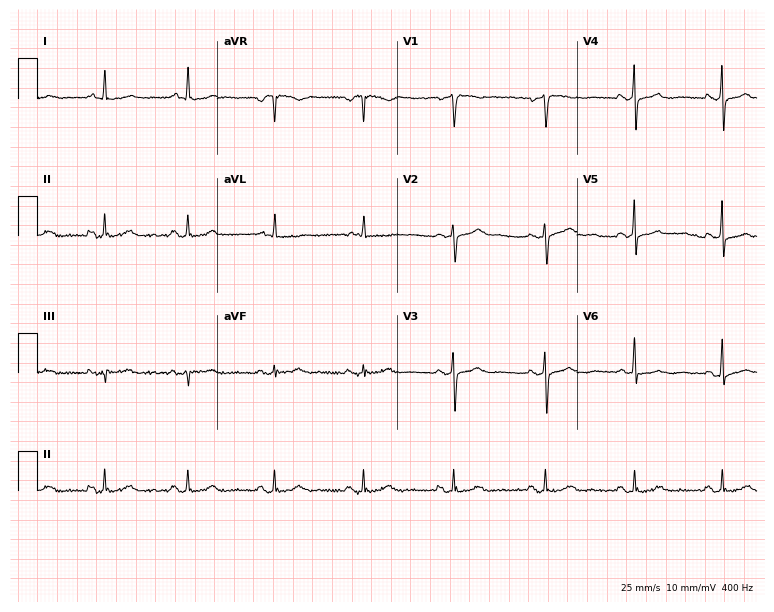
Electrocardiogram (7.3-second recording at 400 Hz), a woman, 62 years old. Overall reading on record: normal ECG.